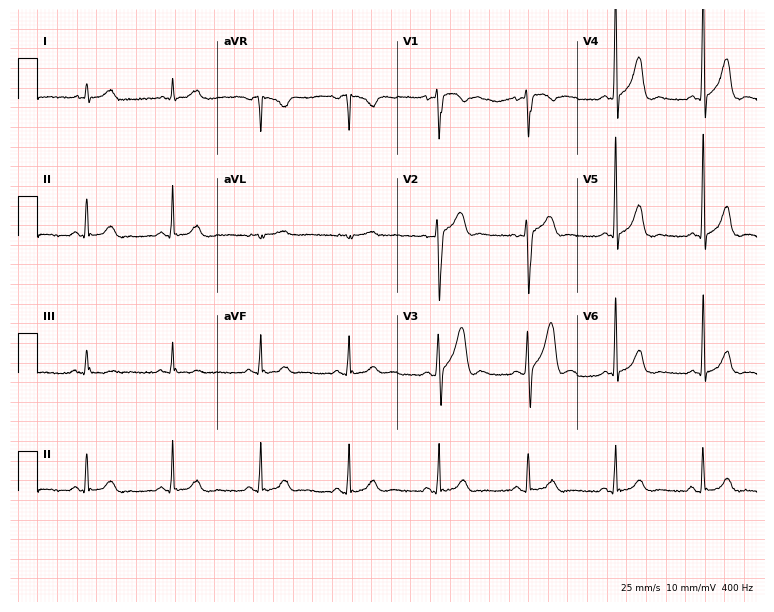
12-lead ECG from a 42-year-old male patient (7.3-second recording at 400 Hz). No first-degree AV block, right bundle branch block (RBBB), left bundle branch block (LBBB), sinus bradycardia, atrial fibrillation (AF) or sinus tachycardia recorded for this tracing. Findings outside these six are not listed.